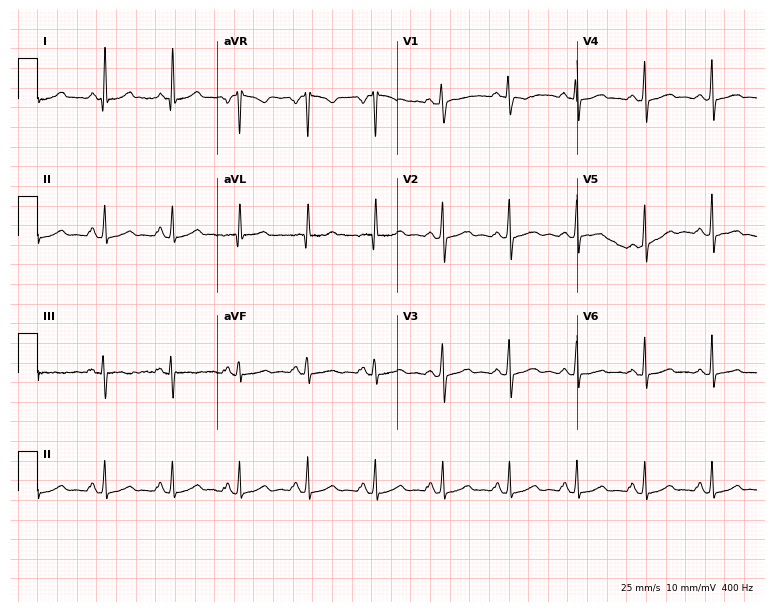
Resting 12-lead electrocardiogram (7.3-second recording at 400 Hz). Patient: a 43-year-old female. Read as a normal ECG.